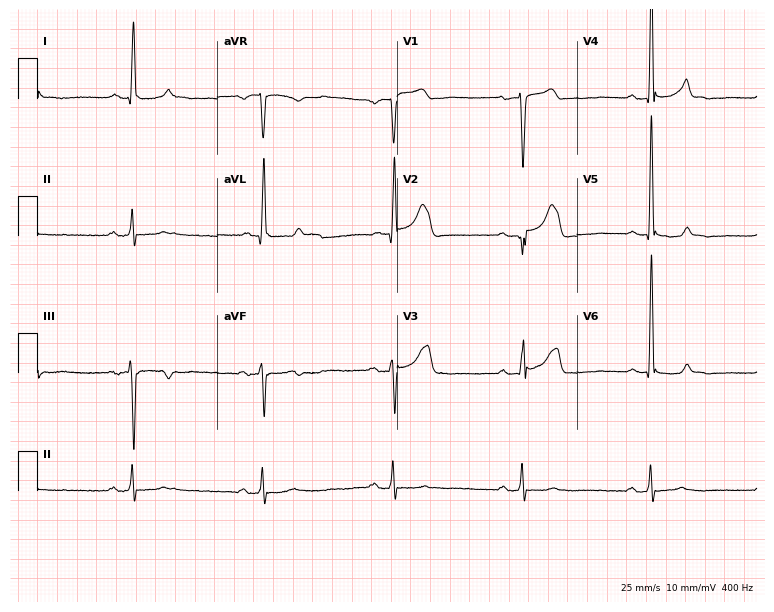
Resting 12-lead electrocardiogram (7.3-second recording at 400 Hz). Patient: a 73-year-old man. The tracing shows sinus bradycardia (a sinus rate of 50 beats per minute or less).